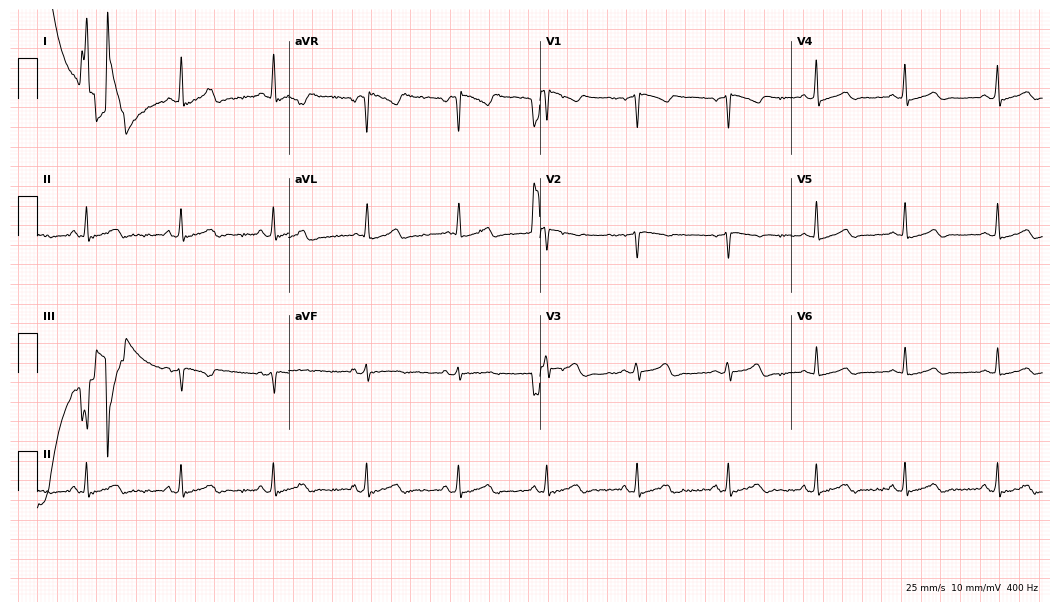
12-lead ECG (10.2-second recording at 400 Hz) from a 53-year-old female patient. Screened for six findings — first-degree AV block, right bundle branch block, left bundle branch block, sinus bradycardia, atrial fibrillation, sinus tachycardia — none is recorded. Findings outside these six are not listed.